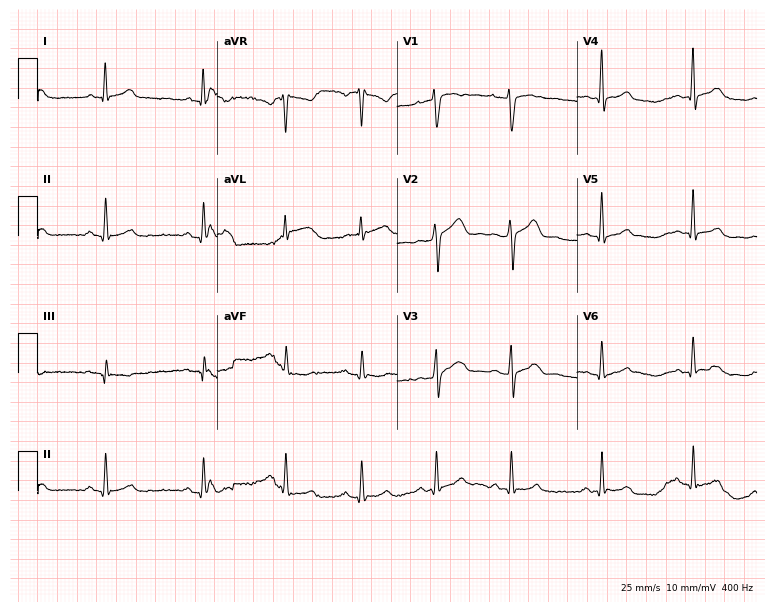
ECG (7.3-second recording at 400 Hz) — a 46-year-old man. Screened for six findings — first-degree AV block, right bundle branch block (RBBB), left bundle branch block (LBBB), sinus bradycardia, atrial fibrillation (AF), sinus tachycardia — none is recorded.